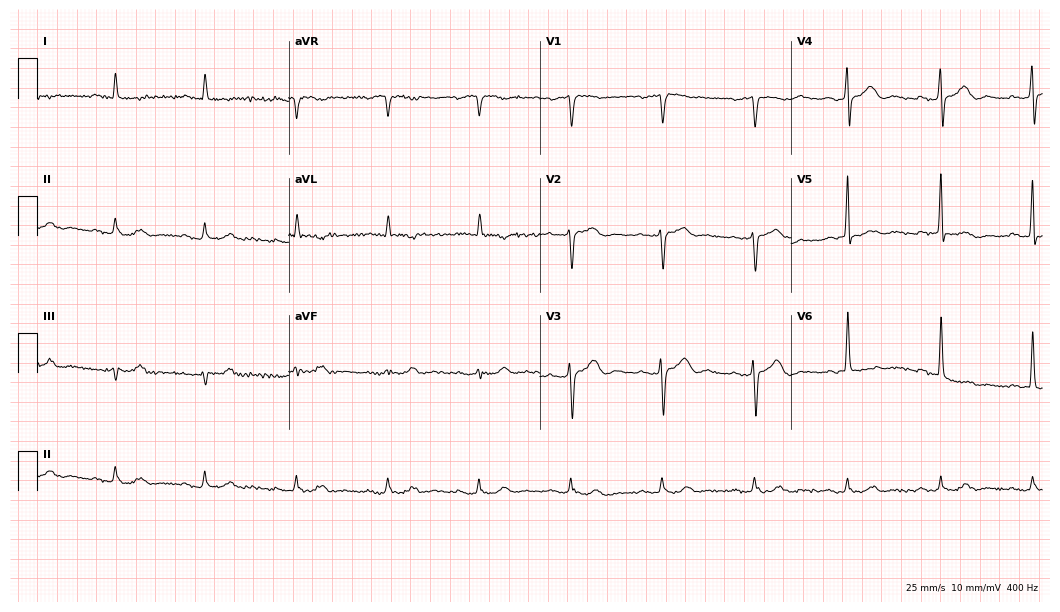
Standard 12-lead ECG recorded from an 85-year-old male patient. The tracing shows first-degree AV block.